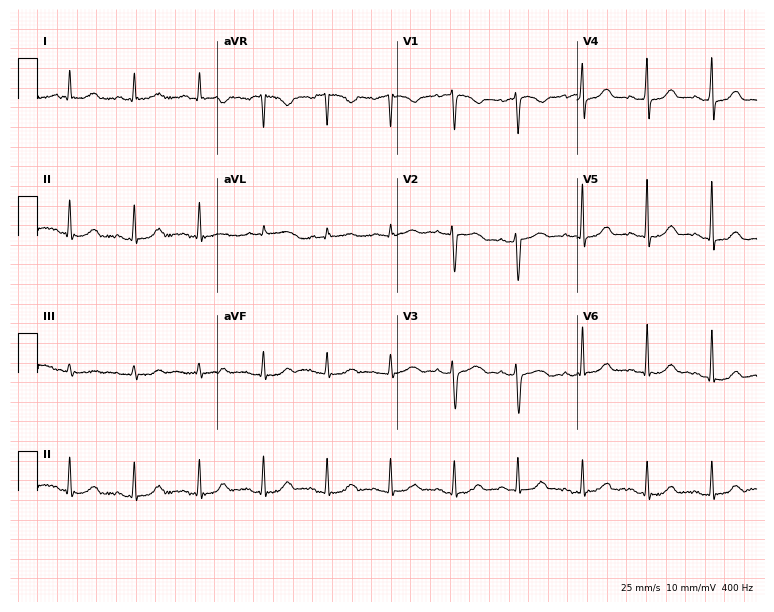
Standard 12-lead ECG recorded from a woman, 45 years old (7.3-second recording at 400 Hz). None of these six findings is recorded: first-degree AV block, right bundle branch block, left bundle branch block, sinus bradycardia, atrial fibrillation, sinus tachycardia. Other findings, if any, are not listed.